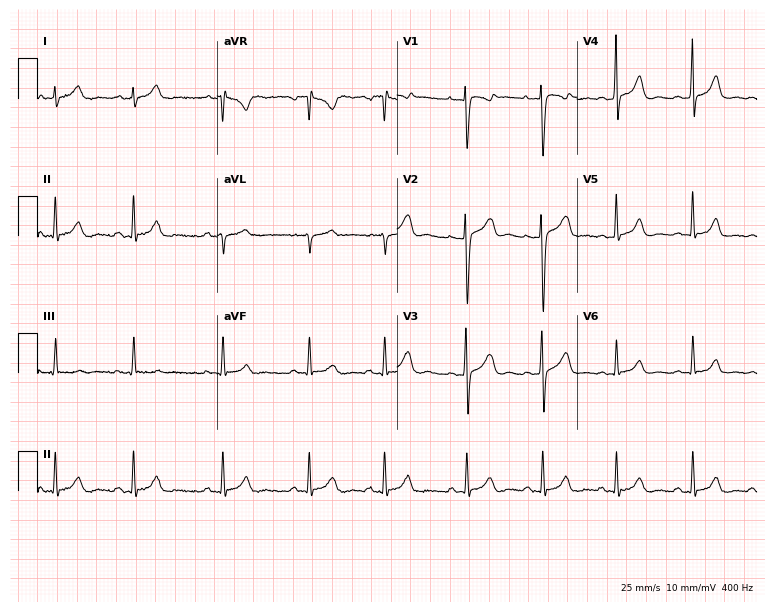
Resting 12-lead electrocardiogram (7.3-second recording at 400 Hz). Patient: a female, 20 years old. Read as a normal ECG.